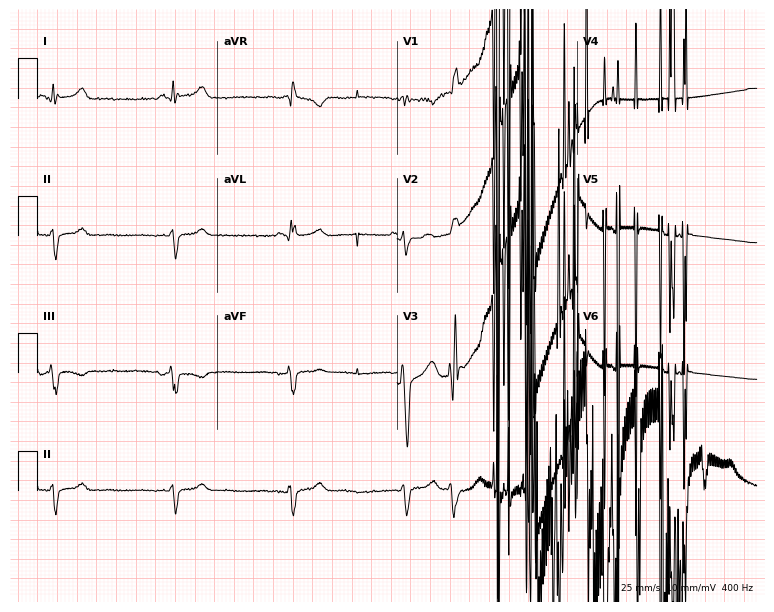
Electrocardiogram (7.3-second recording at 400 Hz), a 32-year-old male patient. Of the six screened findings (first-degree AV block, right bundle branch block, left bundle branch block, sinus bradycardia, atrial fibrillation, sinus tachycardia), none is recorded. Findings outside these six are not listed.